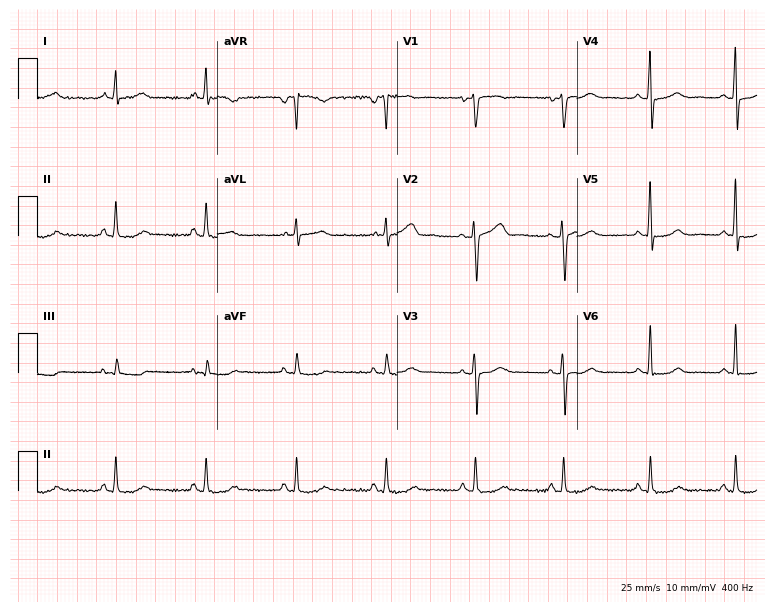
12-lead ECG from a 51-year-old female. Labelled as a normal ECG.